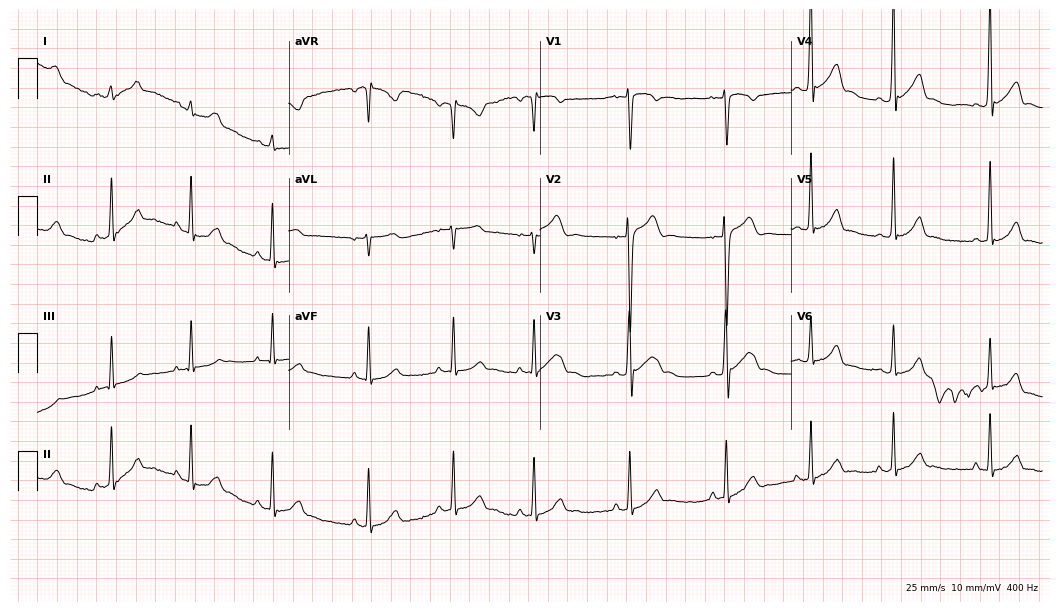
12-lead ECG from a male, 17 years old (10.2-second recording at 400 Hz). Recorded interpretation: within normal limits.